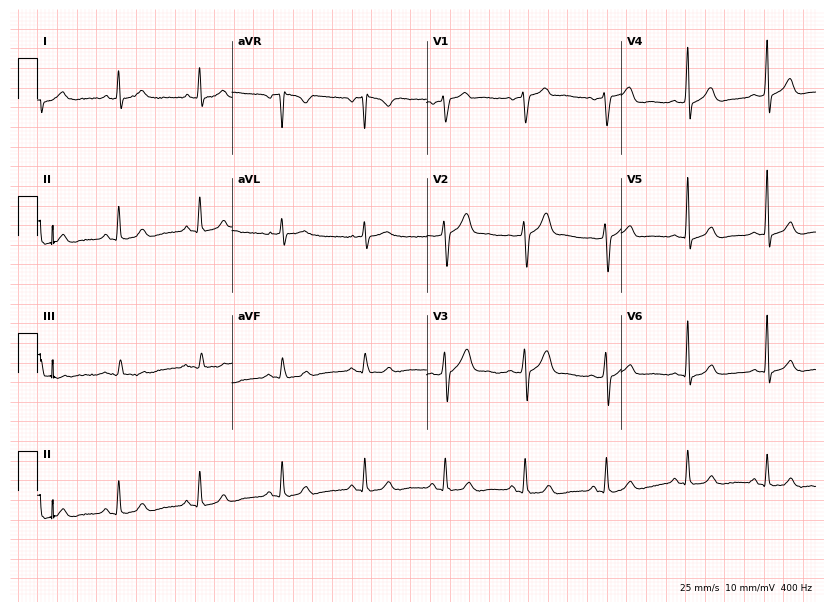
Standard 12-lead ECG recorded from a male patient, 43 years old. Read as a normal ECG.